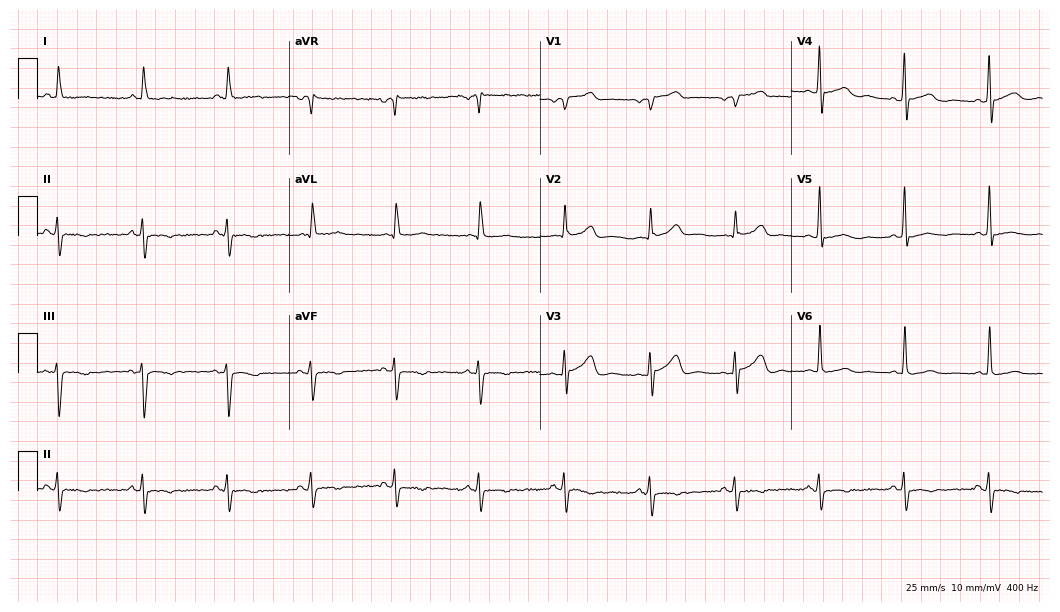
ECG (10.2-second recording at 400 Hz) — a male patient, 60 years old. Screened for six findings — first-degree AV block, right bundle branch block, left bundle branch block, sinus bradycardia, atrial fibrillation, sinus tachycardia — none is recorded.